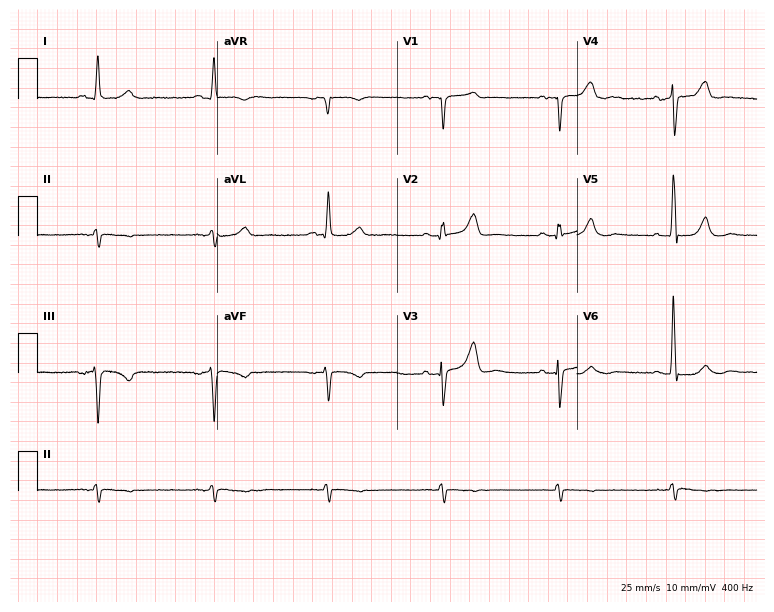
ECG (7.3-second recording at 400 Hz) — a man, 77 years old. Screened for six findings — first-degree AV block, right bundle branch block, left bundle branch block, sinus bradycardia, atrial fibrillation, sinus tachycardia — none is recorded.